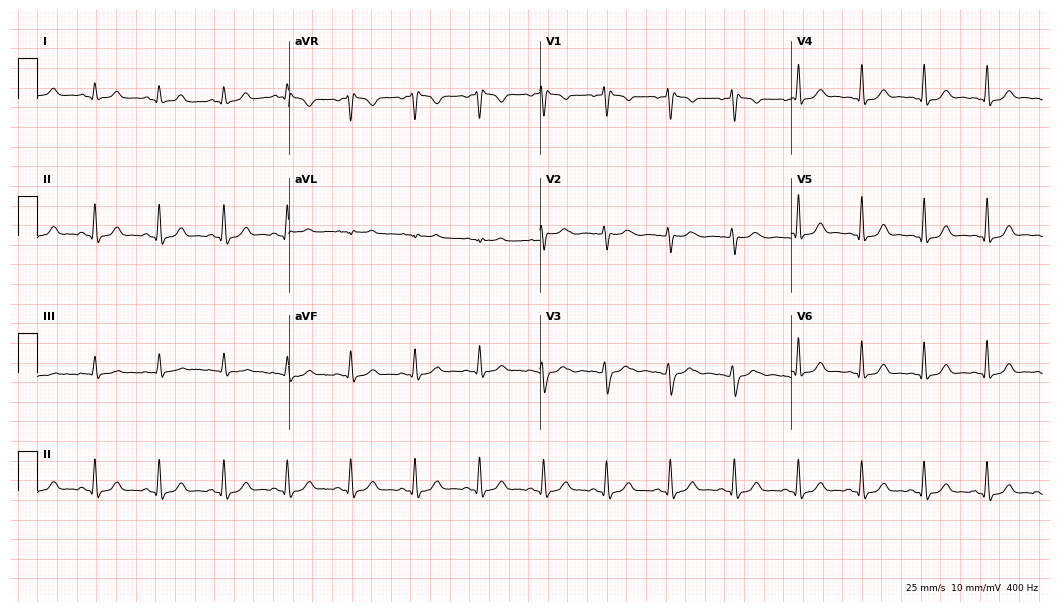
12-lead ECG from a 32-year-old woman (10.2-second recording at 400 Hz). No first-degree AV block, right bundle branch block (RBBB), left bundle branch block (LBBB), sinus bradycardia, atrial fibrillation (AF) or sinus tachycardia recorded for this tracing. Findings outside these six are not listed.